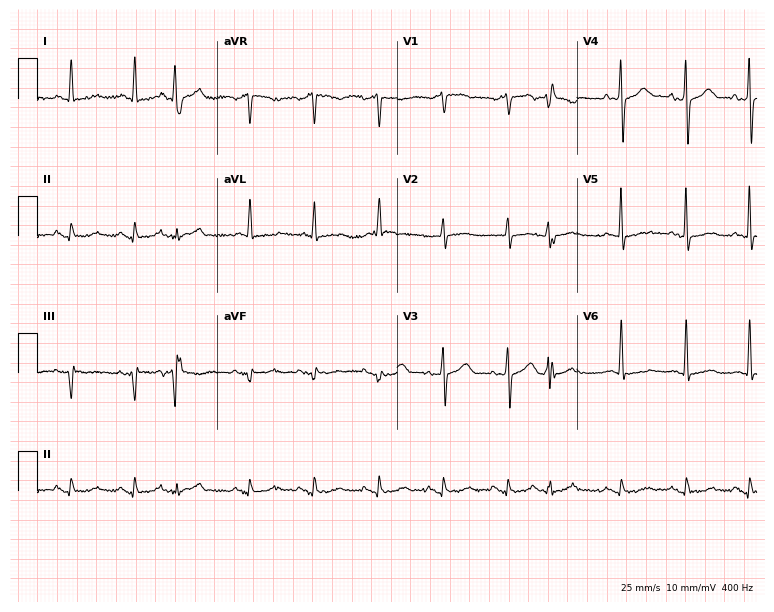
12-lead ECG from a female patient, 83 years old. No first-degree AV block, right bundle branch block (RBBB), left bundle branch block (LBBB), sinus bradycardia, atrial fibrillation (AF) or sinus tachycardia recorded for this tracing. Other findings, if any, are not listed.